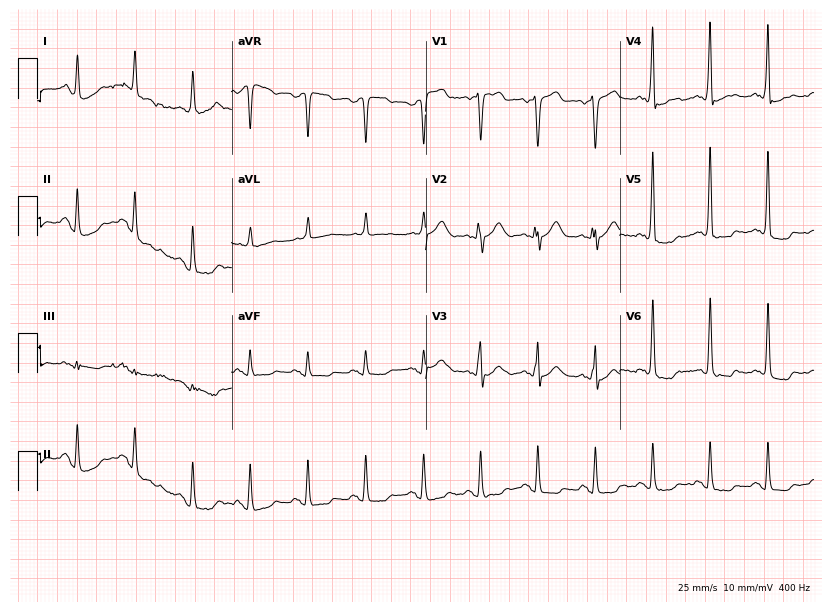
Resting 12-lead electrocardiogram. Patient: a male, 77 years old. The tracing shows sinus tachycardia (a sinus rate of 100 beats per minute or more).